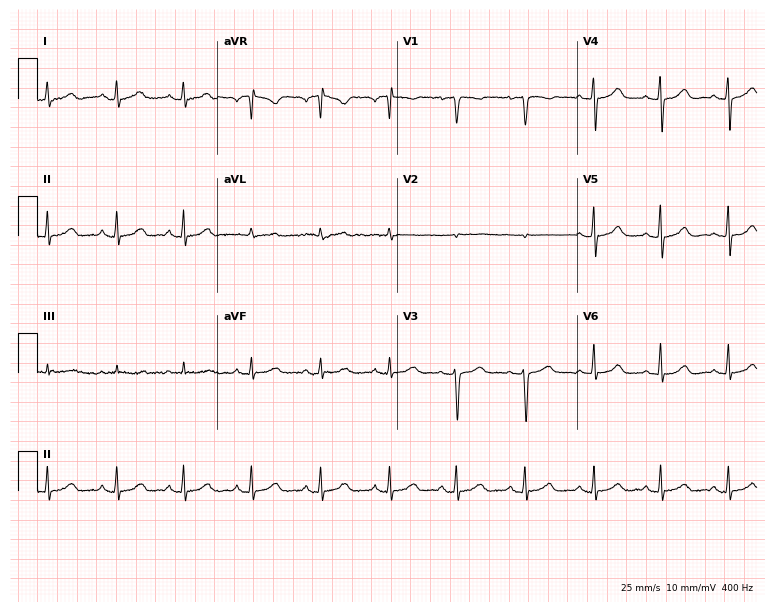
Electrocardiogram, a 37-year-old female. Overall reading on record: normal ECG.